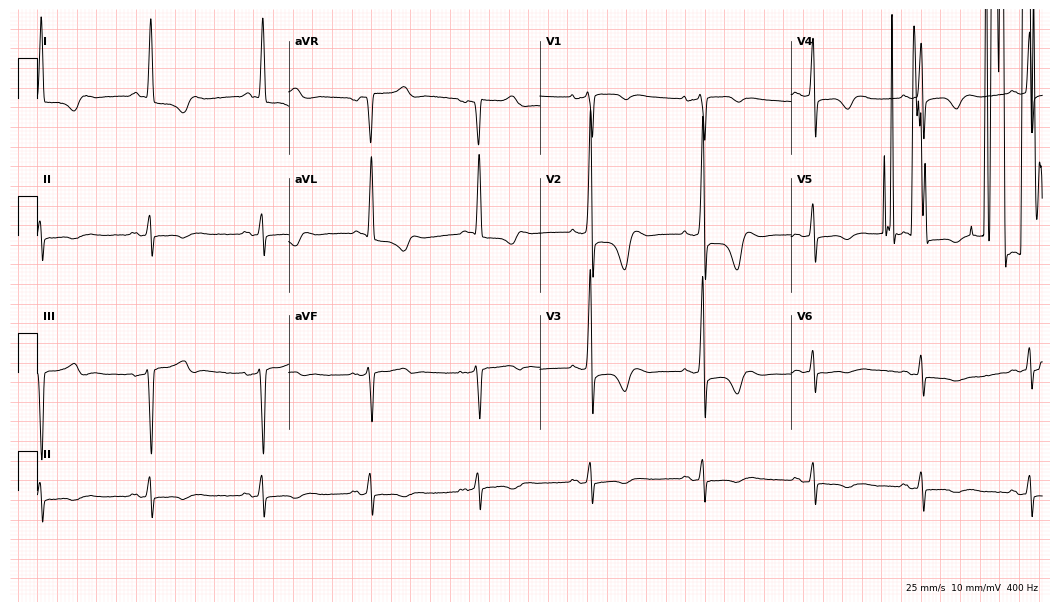
Electrocardiogram (10.2-second recording at 400 Hz), a male, 76 years old. Of the six screened findings (first-degree AV block, right bundle branch block (RBBB), left bundle branch block (LBBB), sinus bradycardia, atrial fibrillation (AF), sinus tachycardia), none is recorded. Only these six findings were labelled.